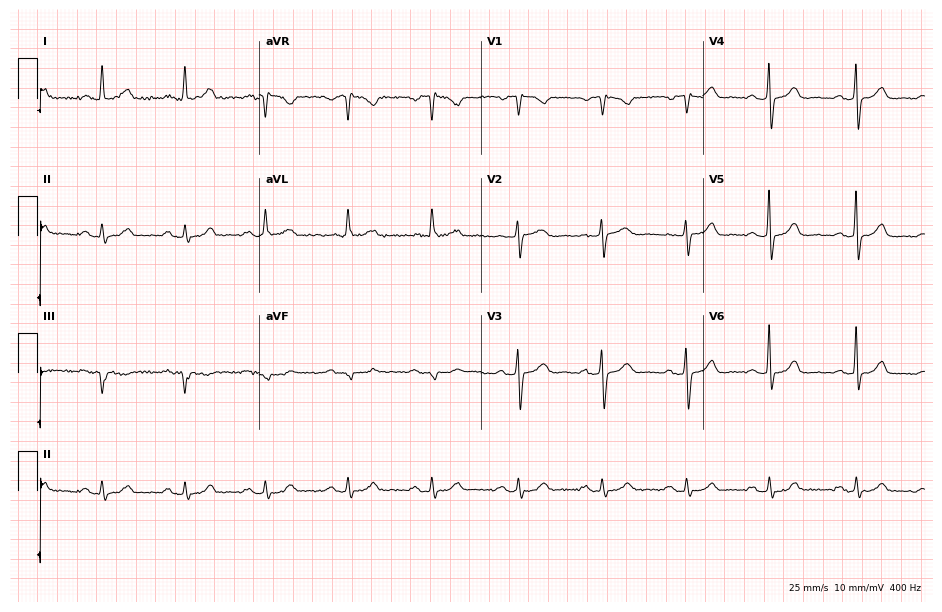
Electrocardiogram, an 80-year-old female. Overall reading on record: normal ECG.